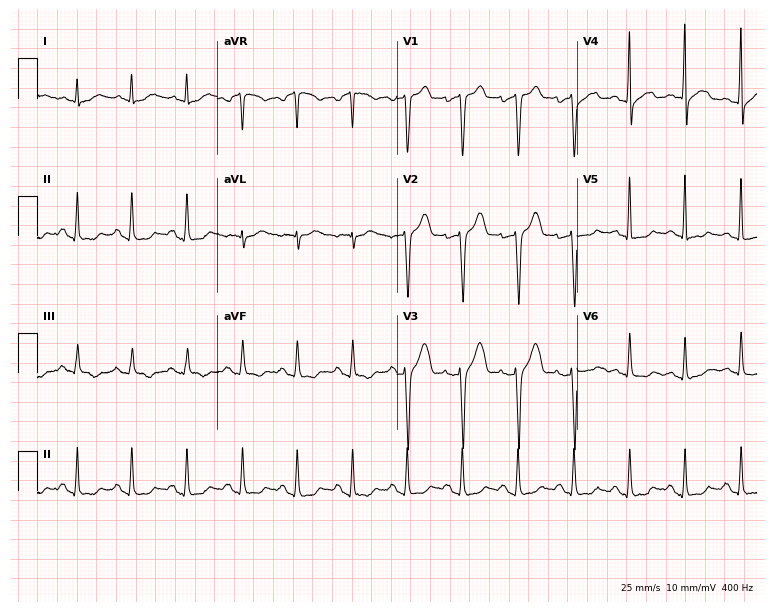
Electrocardiogram, a 65-year-old male patient. Interpretation includes sinus tachycardia (a sinus rate of 100 beats per minute or more).